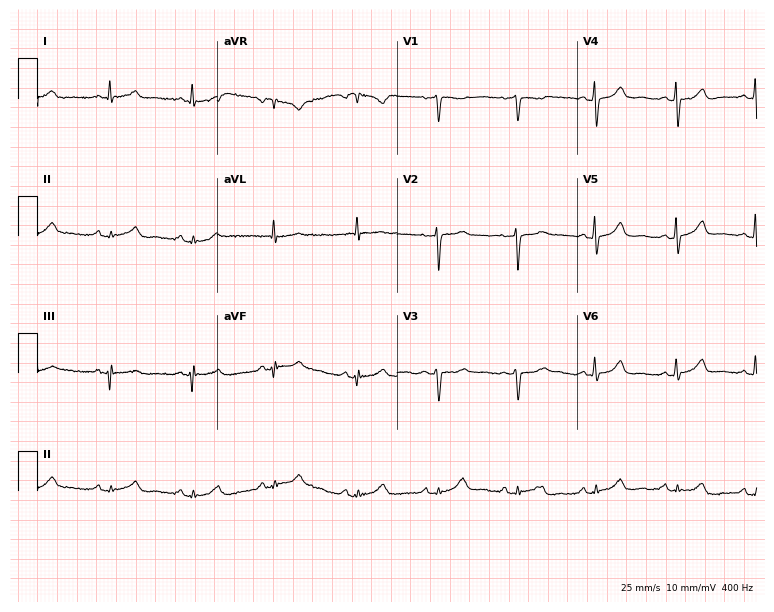
12-lead ECG from a 62-year-old female. Screened for six findings — first-degree AV block, right bundle branch block, left bundle branch block, sinus bradycardia, atrial fibrillation, sinus tachycardia — none is recorded. Only these six findings were labelled.